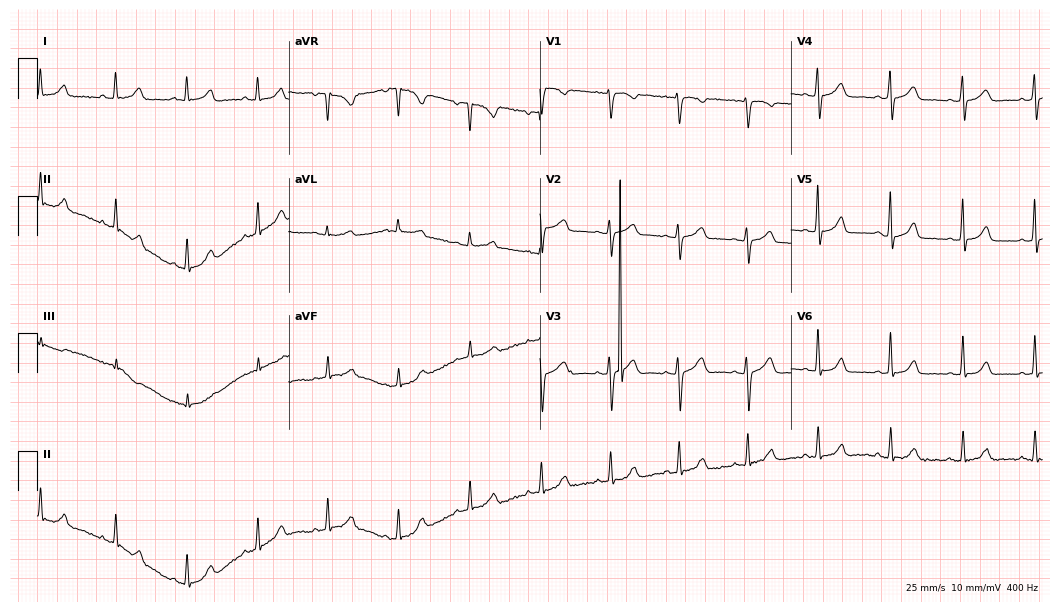
Standard 12-lead ECG recorded from a 41-year-old woman (10.2-second recording at 400 Hz). None of these six findings is recorded: first-degree AV block, right bundle branch block, left bundle branch block, sinus bradycardia, atrial fibrillation, sinus tachycardia. Only these six findings were labelled.